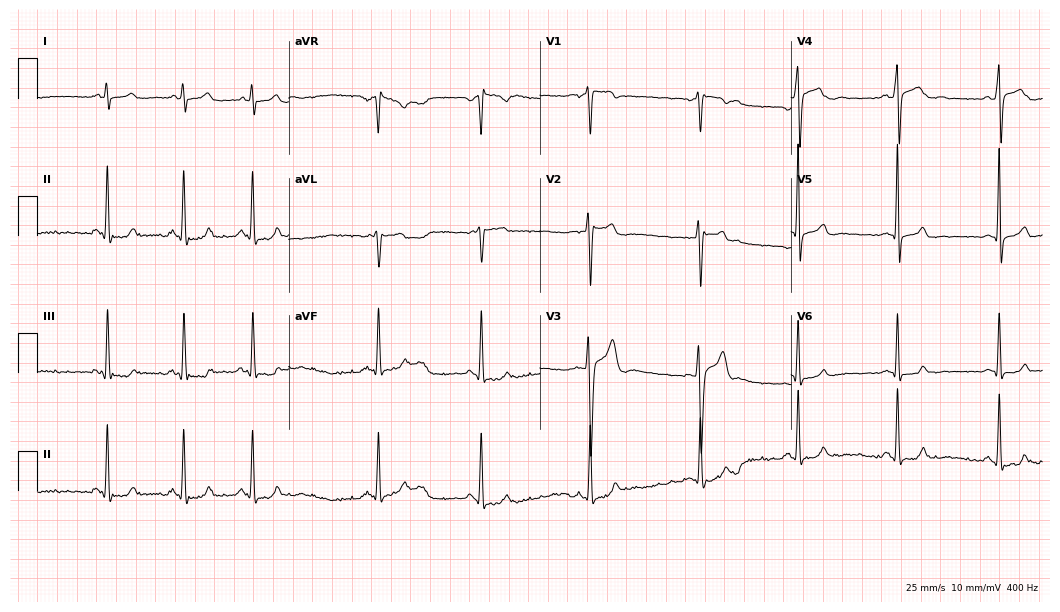
12-lead ECG from a 22-year-old male. Labelled as a normal ECG.